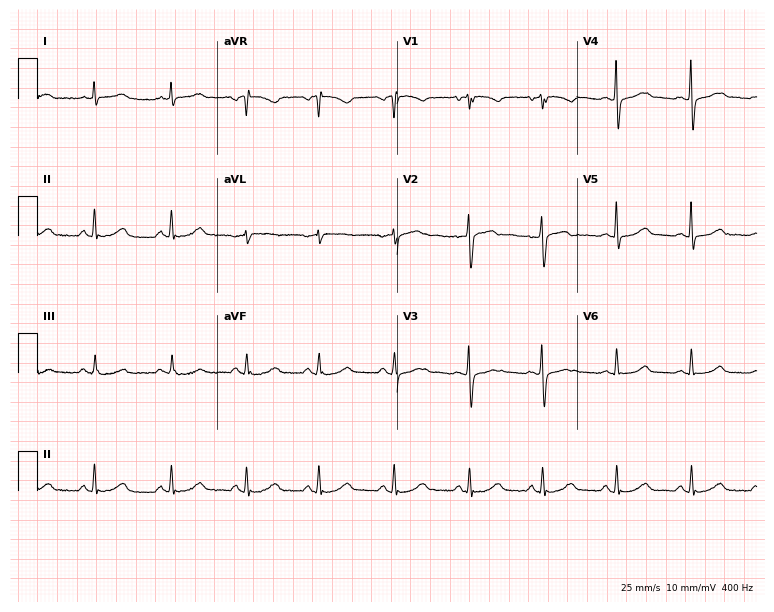
12-lead ECG from a 53-year-old woman. Screened for six findings — first-degree AV block, right bundle branch block, left bundle branch block, sinus bradycardia, atrial fibrillation, sinus tachycardia — none is recorded.